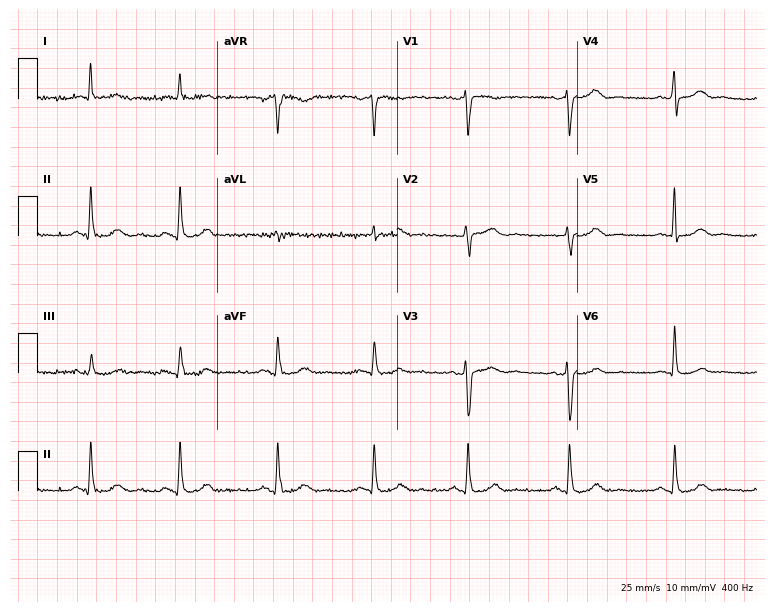
Electrocardiogram (7.3-second recording at 400 Hz), a female patient, 65 years old. Overall reading on record: normal ECG.